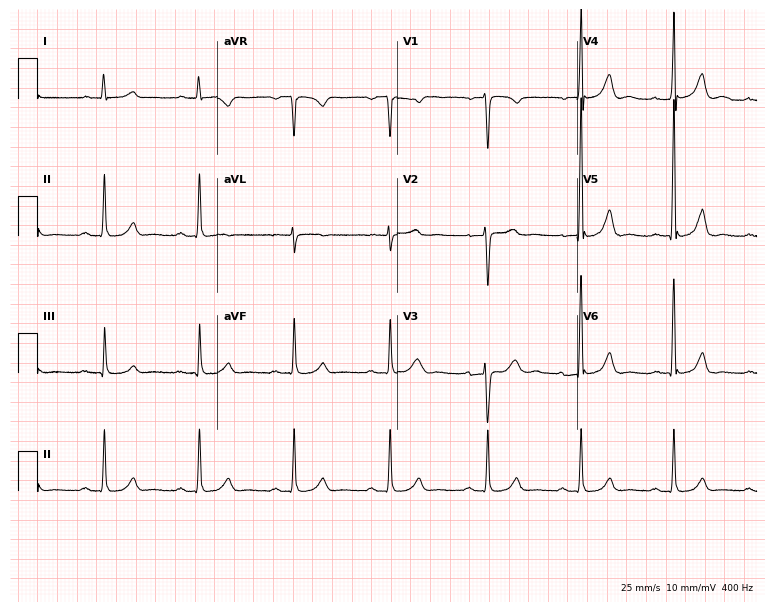
Electrocardiogram (7.3-second recording at 400 Hz), a female patient, 62 years old. Overall reading on record: normal ECG.